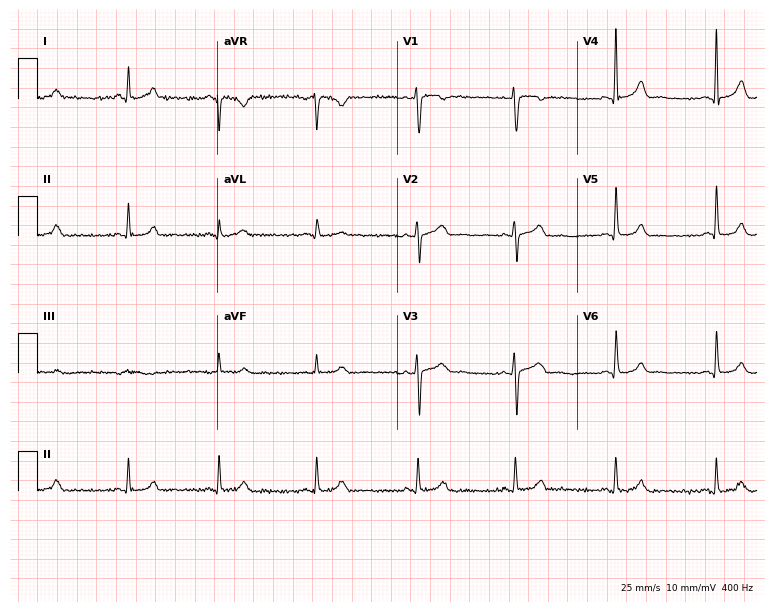
ECG — a 43-year-old woman. Labelled as a normal ECG.